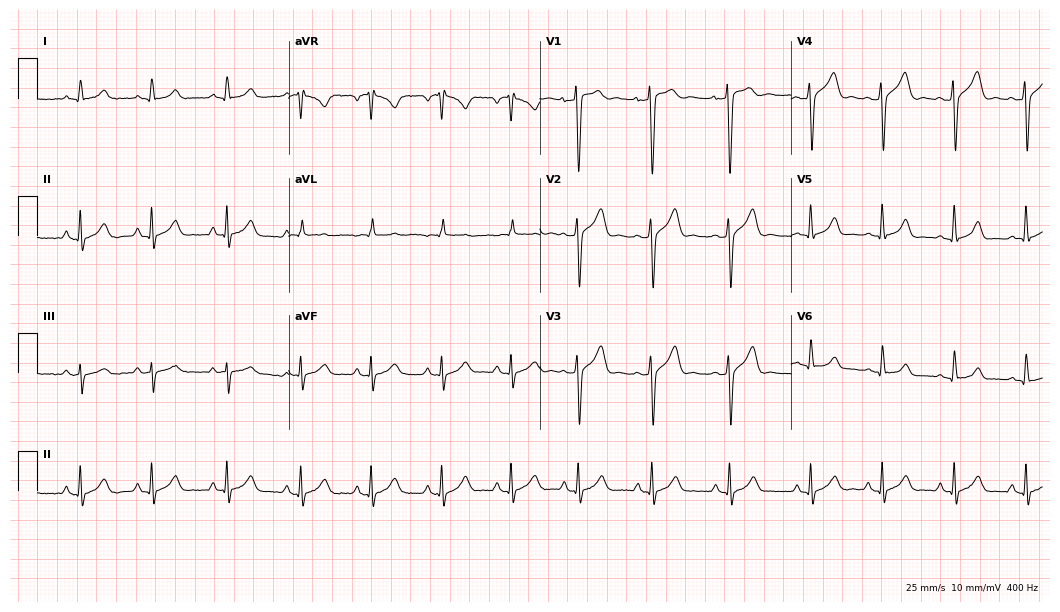
Standard 12-lead ECG recorded from a female patient, 44 years old (10.2-second recording at 400 Hz). None of these six findings is recorded: first-degree AV block, right bundle branch block (RBBB), left bundle branch block (LBBB), sinus bradycardia, atrial fibrillation (AF), sinus tachycardia. Only these six findings were labelled.